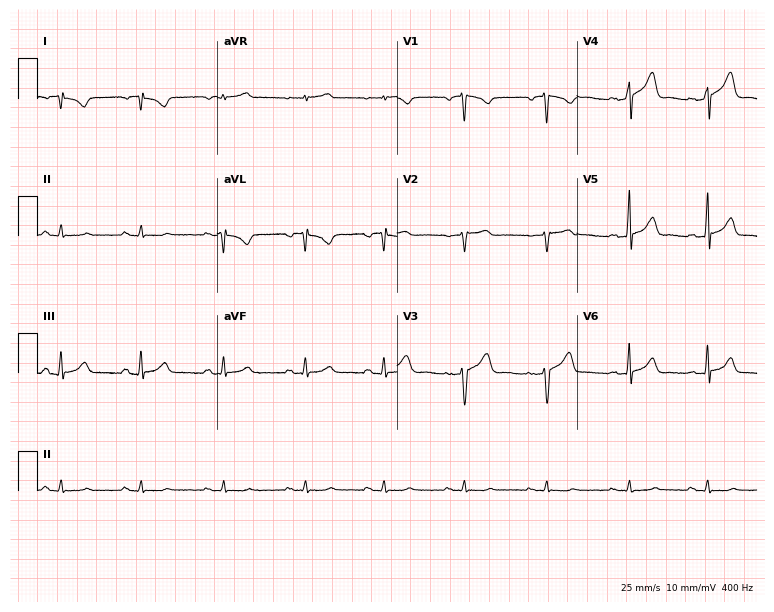
12-lead ECG from a man, 34 years old. Screened for six findings — first-degree AV block, right bundle branch block (RBBB), left bundle branch block (LBBB), sinus bradycardia, atrial fibrillation (AF), sinus tachycardia — none is recorded. Other findings, if any, are not listed.